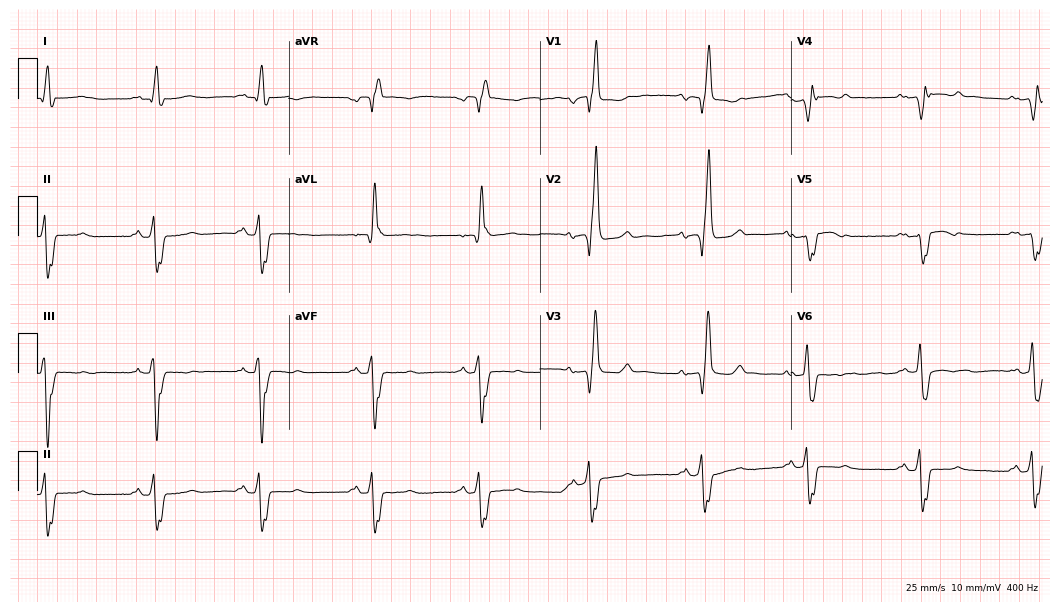
Resting 12-lead electrocardiogram. Patient: a 69-year-old woman. The tracing shows right bundle branch block.